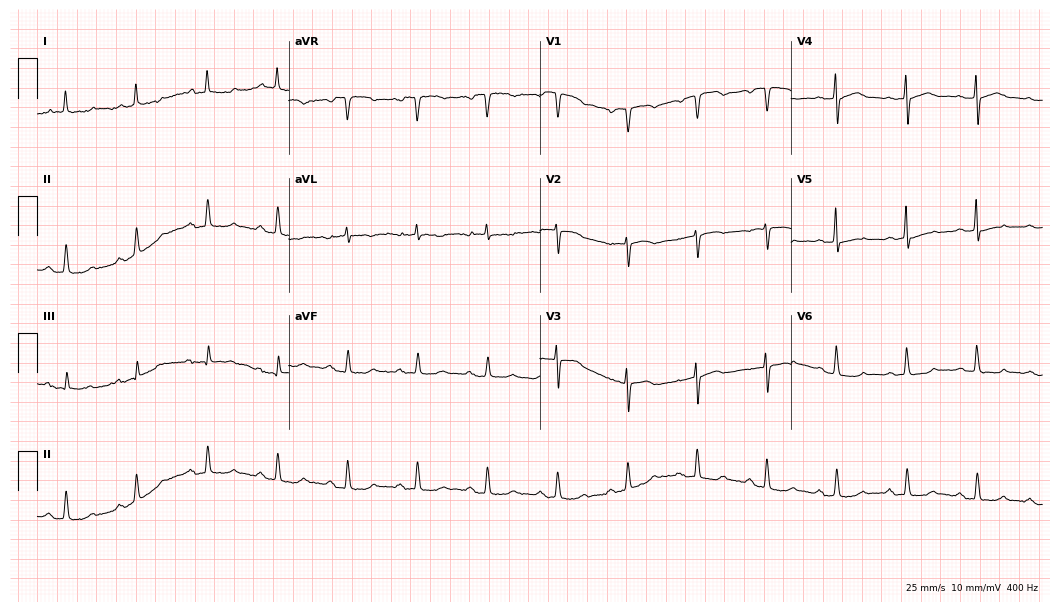
ECG (10.2-second recording at 400 Hz) — an 81-year-old man. Labelled as a normal ECG.